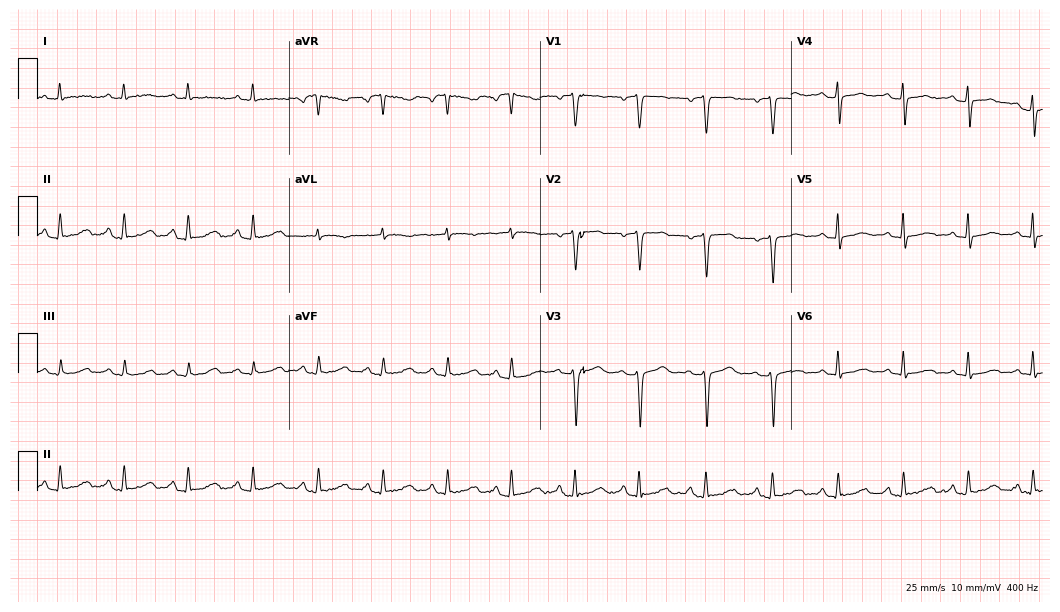
12-lead ECG from a woman, 64 years old. Screened for six findings — first-degree AV block, right bundle branch block, left bundle branch block, sinus bradycardia, atrial fibrillation, sinus tachycardia — none is recorded. Findings outside these six are not listed.